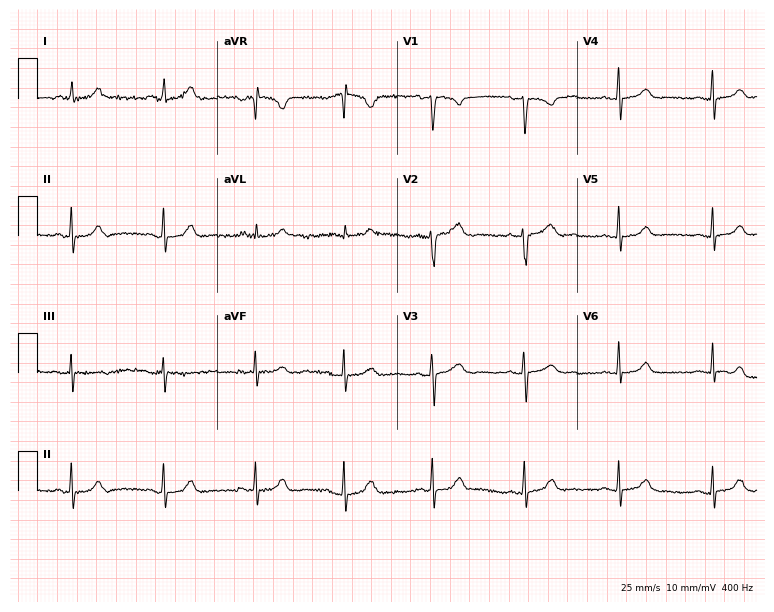
Standard 12-lead ECG recorded from a female, 40 years old. None of these six findings is recorded: first-degree AV block, right bundle branch block, left bundle branch block, sinus bradycardia, atrial fibrillation, sinus tachycardia. Only these six findings were labelled.